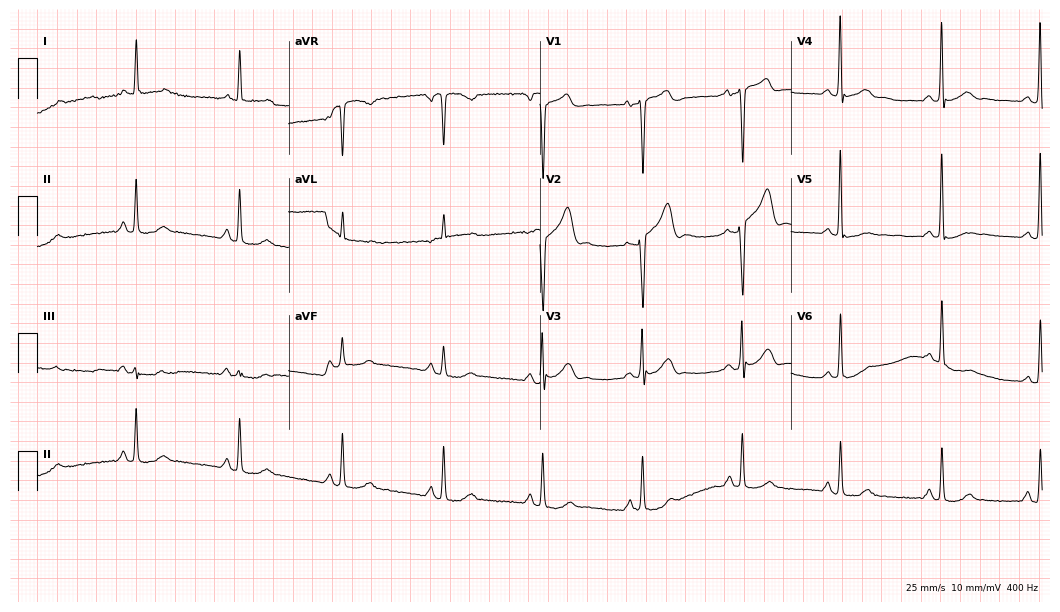
12-lead ECG from a 62-year-old male patient. Screened for six findings — first-degree AV block, right bundle branch block, left bundle branch block, sinus bradycardia, atrial fibrillation, sinus tachycardia — none is recorded.